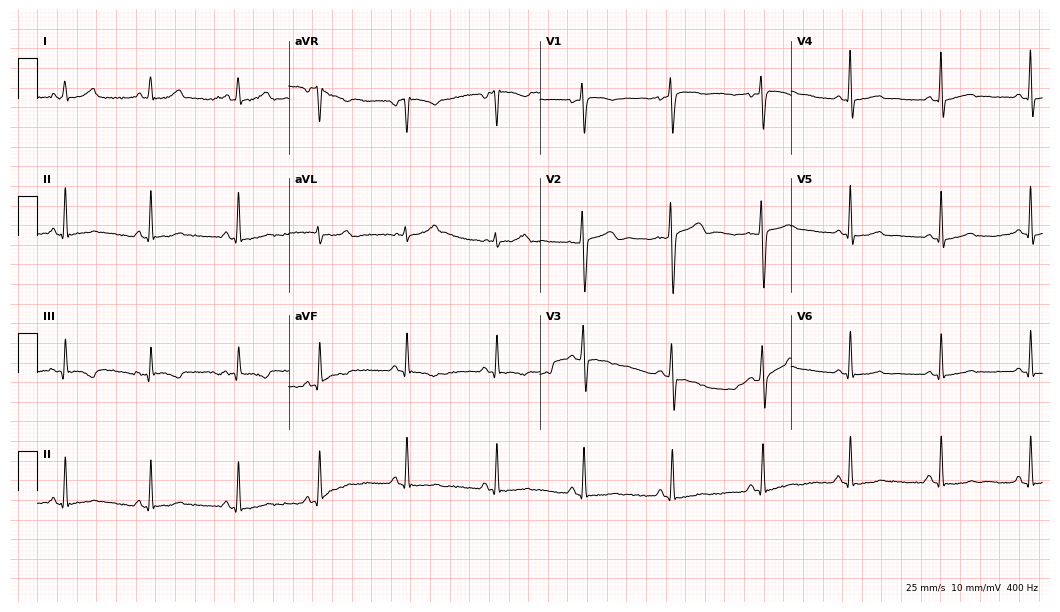
Electrocardiogram, a female, 30 years old. Overall reading on record: normal ECG.